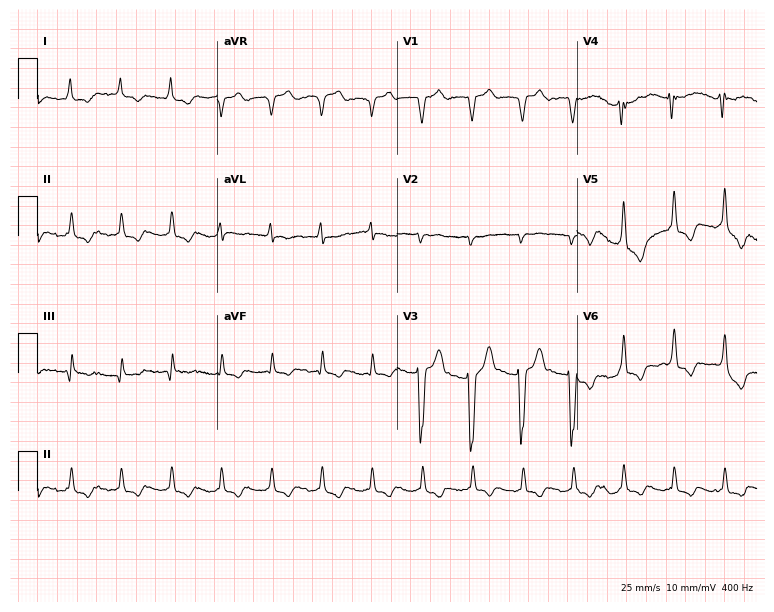
12-lead ECG from a woman, 83 years old. Screened for six findings — first-degree AV block, right bundle branch block, left bundle branch block, sinus bradycardia, atrial fibrillation, sinus tachycardia — none is recorded. Findings outside these six are not listed.